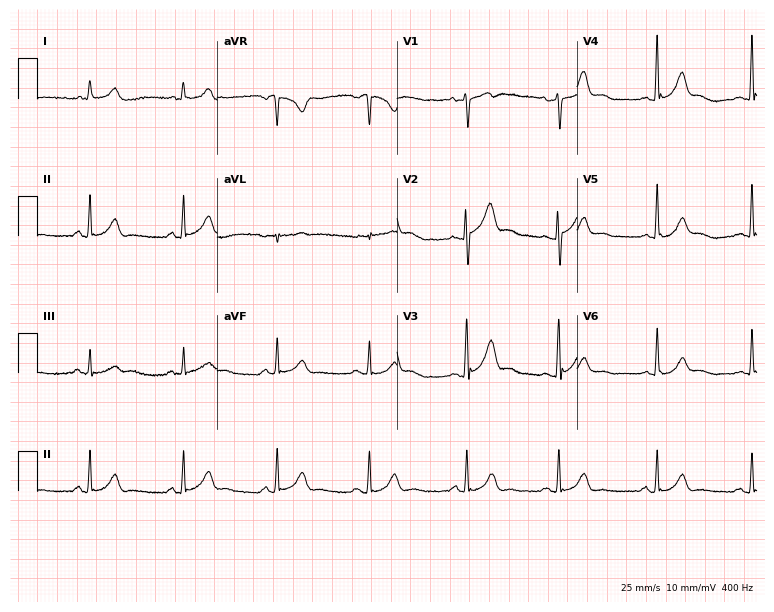
ECG (7.3-second recording at 400 Hz) — a male patient, 58 years old. Labelled as a normal ECG.